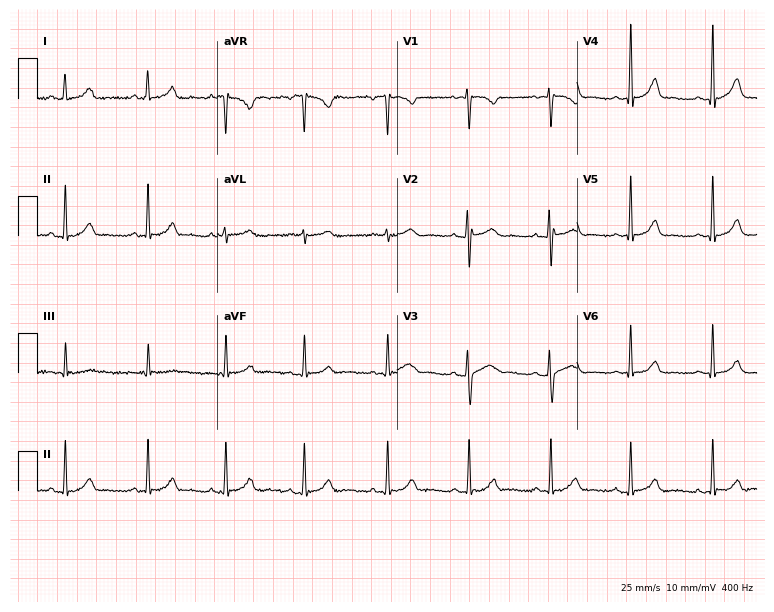
12-lead ECG from a 20-year-old female (7.3-second recording at 400 Hz). Recorded interpretation: within normal limits.